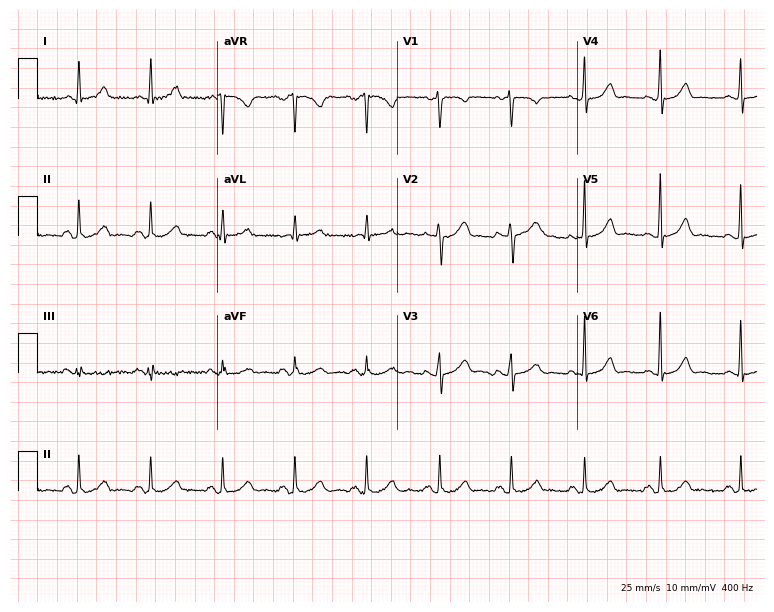
Standard 12-lead ECG recorded from a 35-year-old female. Read as a normal ECG.